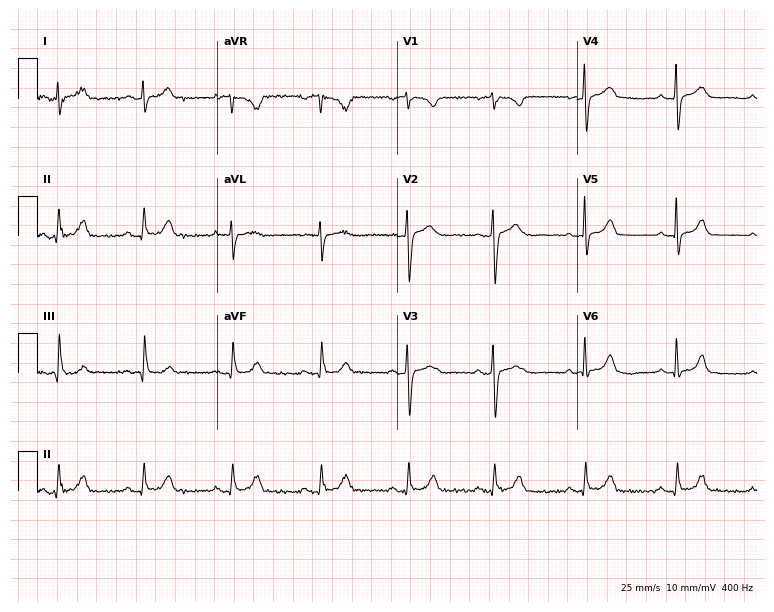
Resting 12-lead electrocardiogram (7.3-second recording at 400 Hz). Patient: a 44-year-old female. None of these six findings is recorded: first-degree AV block, right bundle branch block, left bundle branch block, sinus bradycardia, atrial fibrillation, sinus tachycardia. Other findings, if any, are not listed.